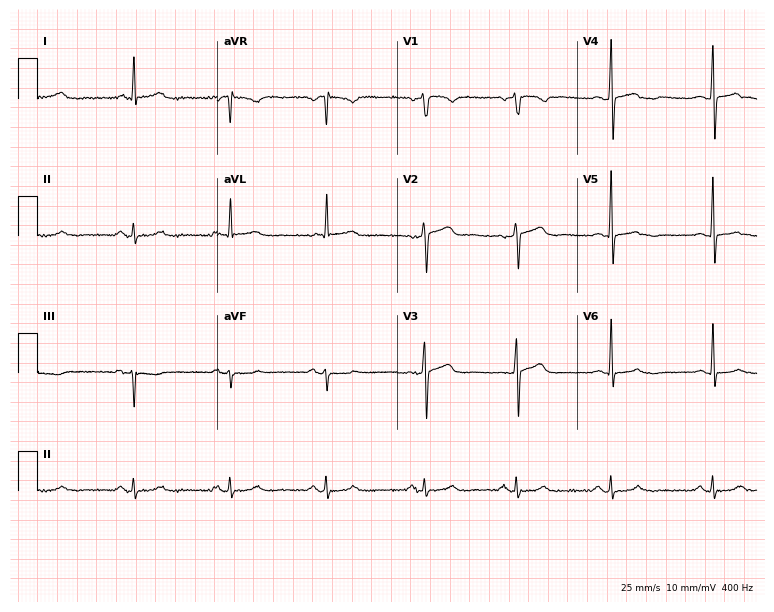
Electrocardiogram, a 54-year-old female patient. Overall reading on record: normal ECG.